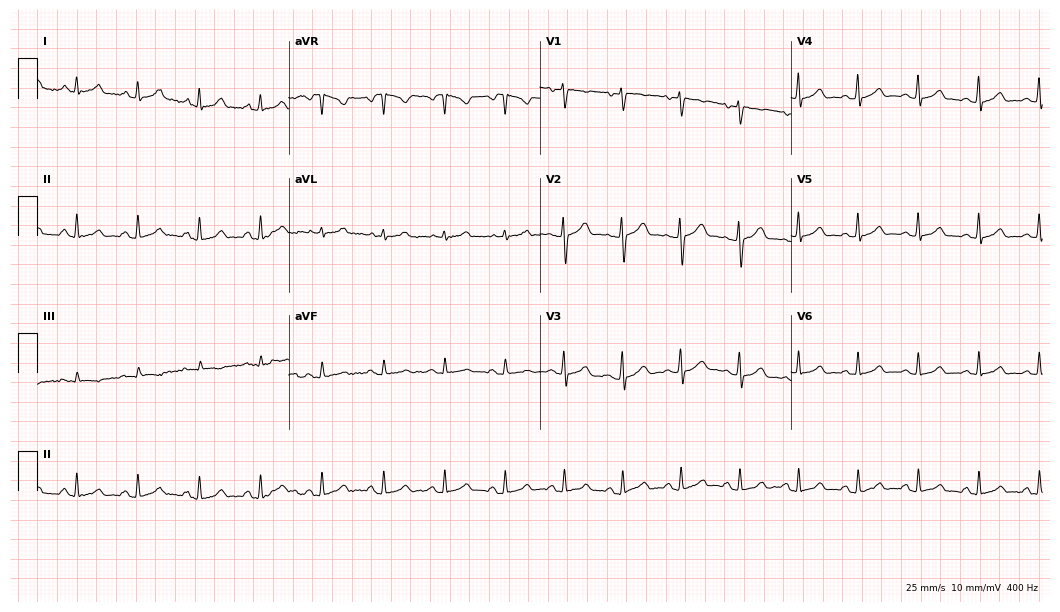
Resting 12-lead electrocardiogram. Patient: an 18-year-old female. Read as a normal ECG.